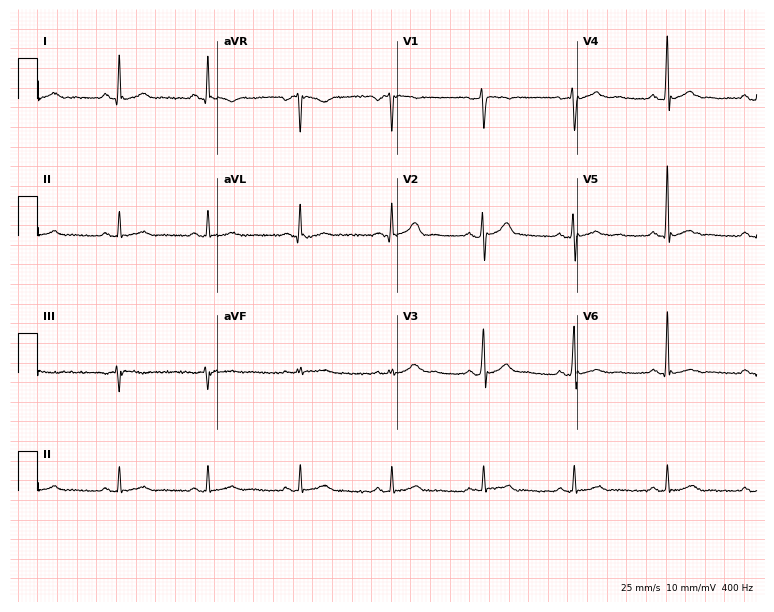
Standard 12-lead ECG recorded from a man, 34 years old (7.3-second recording at 400 Hz). None of these six findings is recorded: first-degree AV block, right bundle branch block, left bundle branch block, sinus bradycardia, atrial fibrillation, sinus tachycardia. Other findings, if any, are not listed.